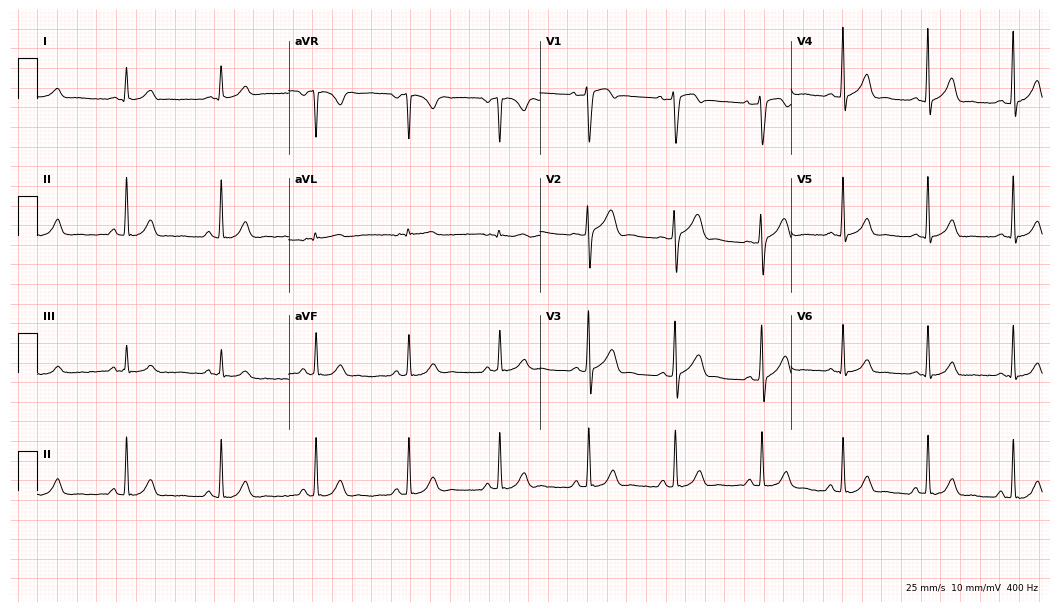
12-lead ECG from a 33-year-old man. Recorded interpretation: within normal limits.